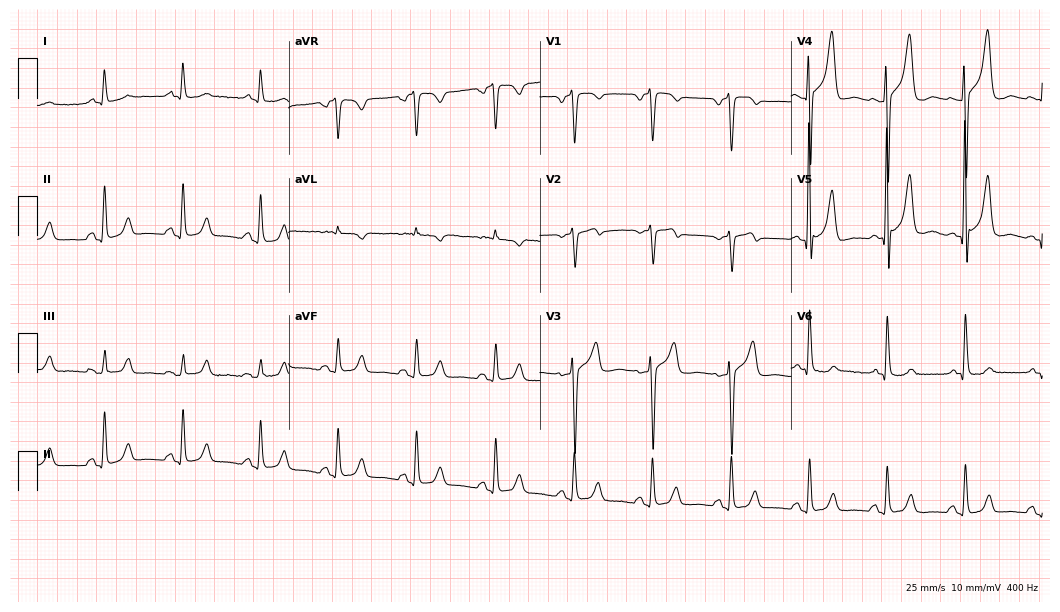
Standard 12-lead ECG recorded from a male, 78 years old. None of these six findings is recorded: first-degree AV block, right bundle branch block (RBBB), left bundle branch block (LBBB), sinus bradycardia, atrial fibrillation (AF), sinus tachycardia.